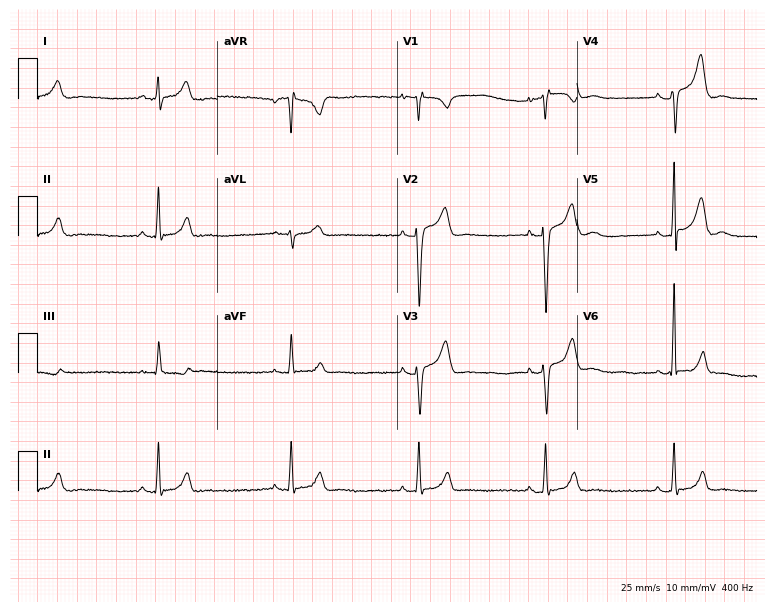
Standard 12-lead ECG recorded from a male patient, 21 years old. The tracing shows sinus bradycardia (a sinus rate of 50 beats per minute or less).